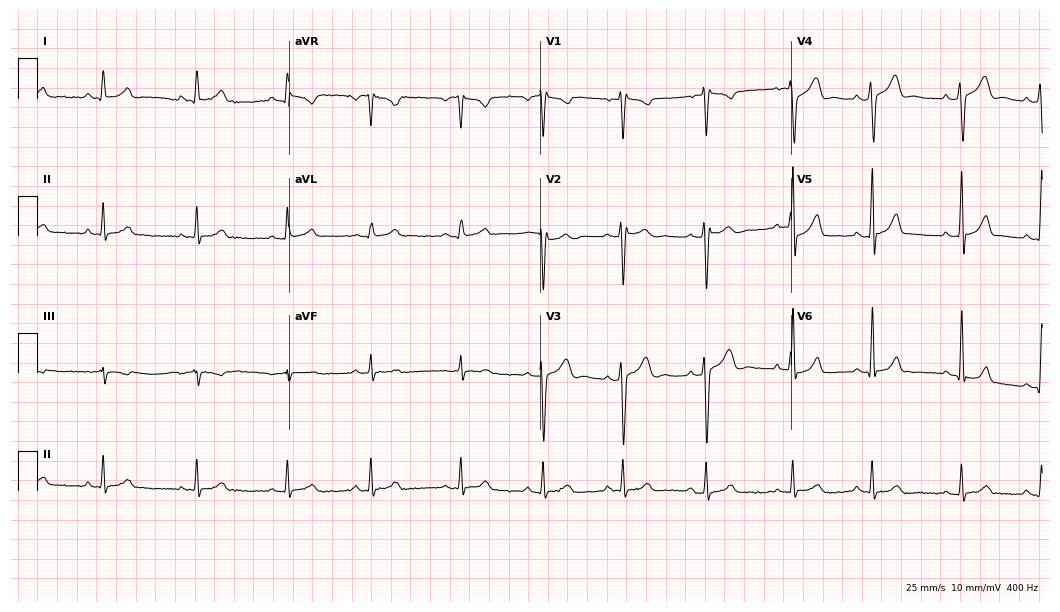
12-lead ECG from a 21-year-old man (10.2-second recording at 400 Hz). No first-degree AV block, right bundle branch block (RBBB), left bundle branch block (LBBB), sinus bradycardia, atrial fibrillation (AF) or sinus tachycardia recorded for this tracing.